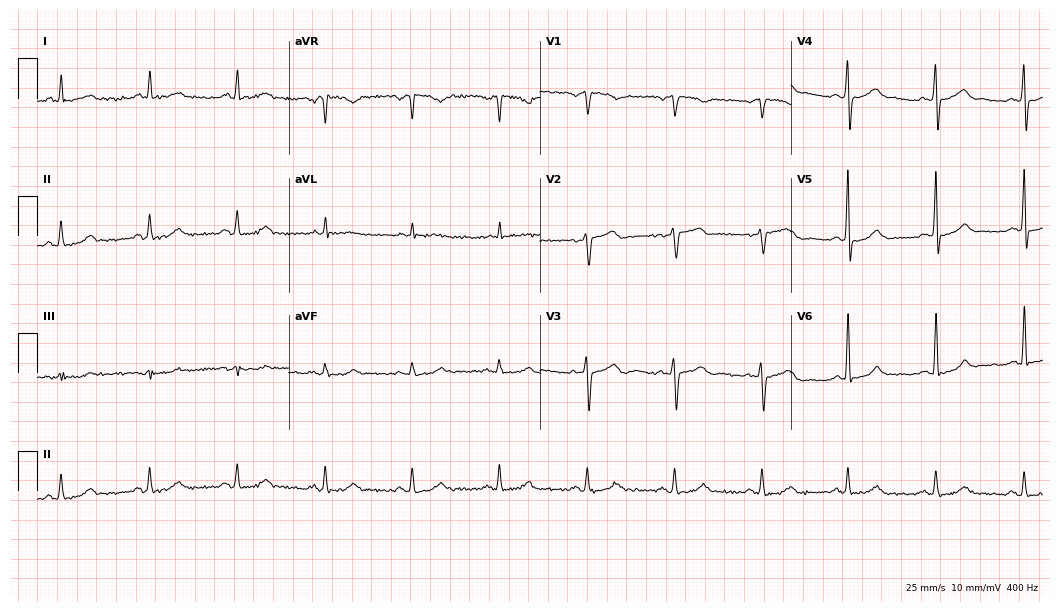
Resting 12-lead electrocardiogram (10.2-second recording at 400 Hz). Patient: a female, 67 years old. Read as a normal ECG.